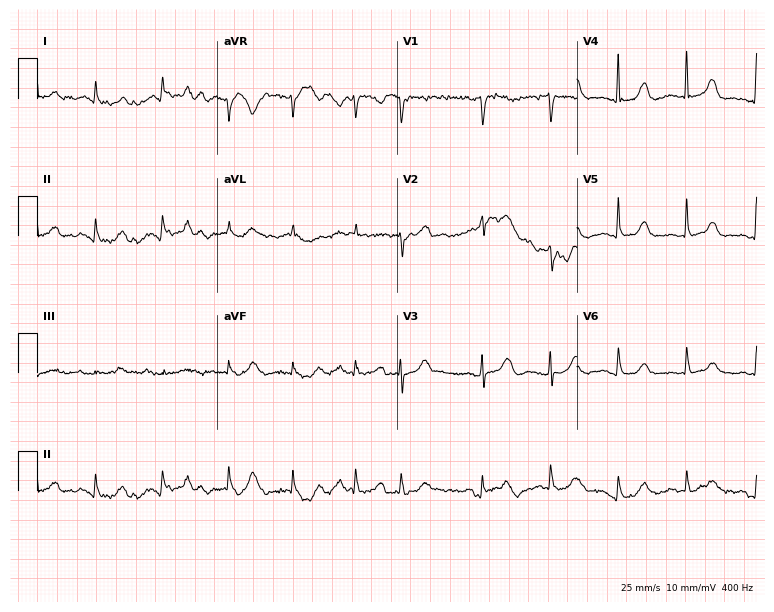
Resting 12-lead electrocardiogram. Patient: a female, 84 years old. None of these six findings is recorded: first-degree AV block, right bundle branch block, left bundle branch block, sinus bradycardia, atrial fibrillation, sinus tachycardia. Other findings, if any, are not listed.